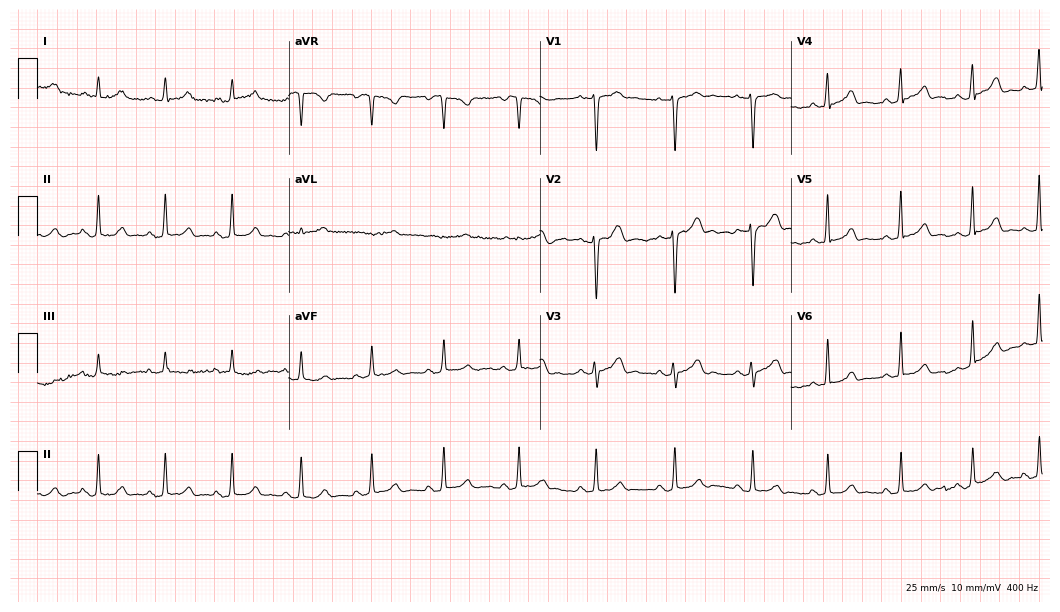
Standard 12-lead ECG recorded from a woman, 25 years old. Read as a normal ECG.